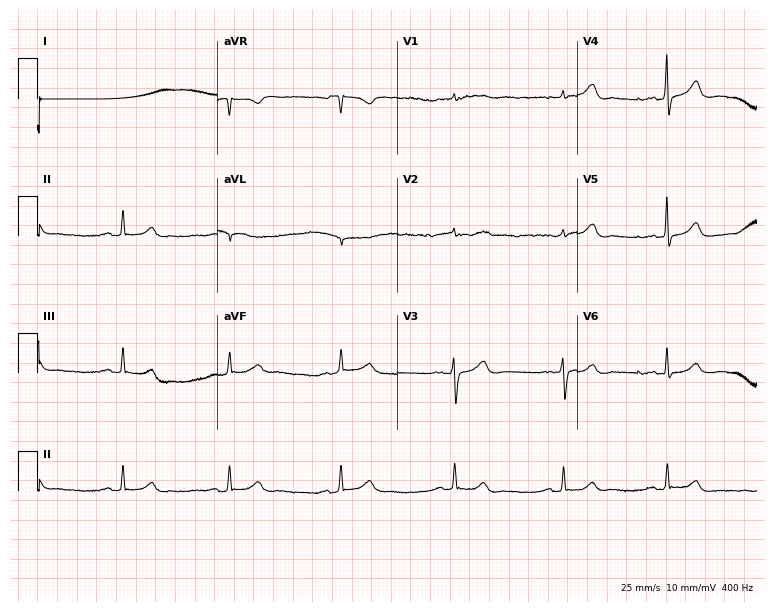
Electrocardiogram, a man, 46 years old. Overall reading on record: normal ECG.